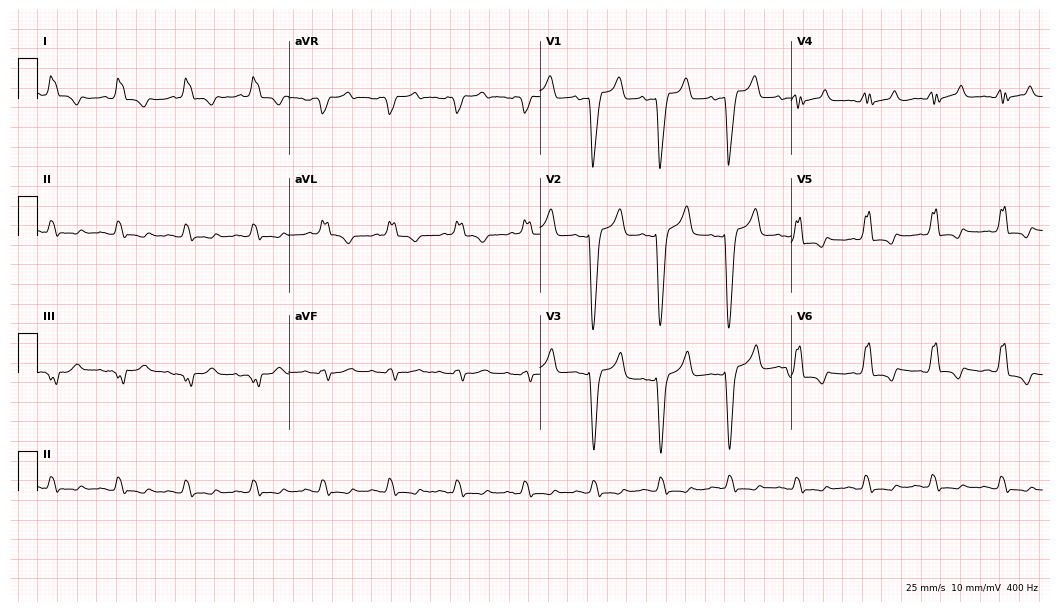
Resting 12-lead electrocardiogram. Patient: a woman, 81 years old. The tracing shows left bundle branch block.